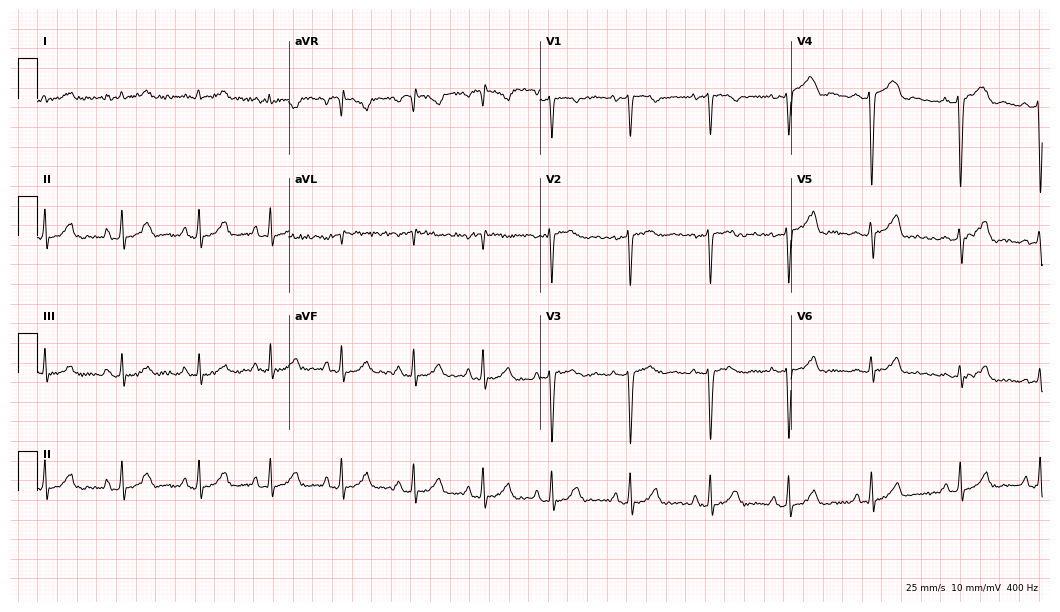
Standard 12-lead ECG recorded from a 26-year-old female. None of these six findings is recorded: first-degree AV block, right bundle branch block, left bundle branch block, sinus bradycardia, atrial fibrillation, sinus tachycardia.